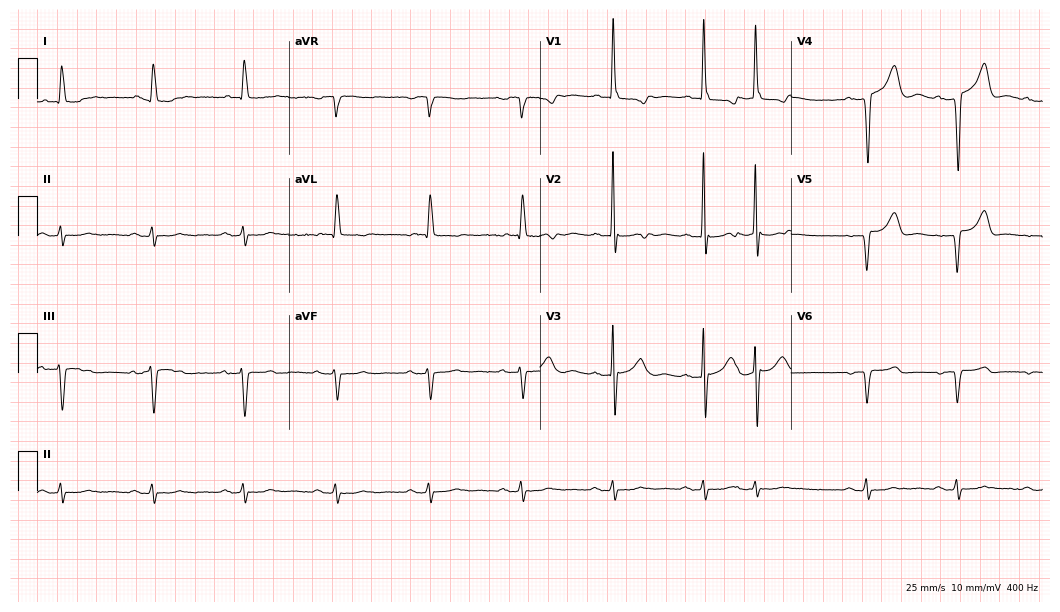
Standard 12-lead ECG recorded from a man, 77 years old. None of these six findings is recorded: first-degree AV block, right bundle branch block, left bundle branch block, sinus bradycardia, atrial fibrillation, sinus tachycardia.